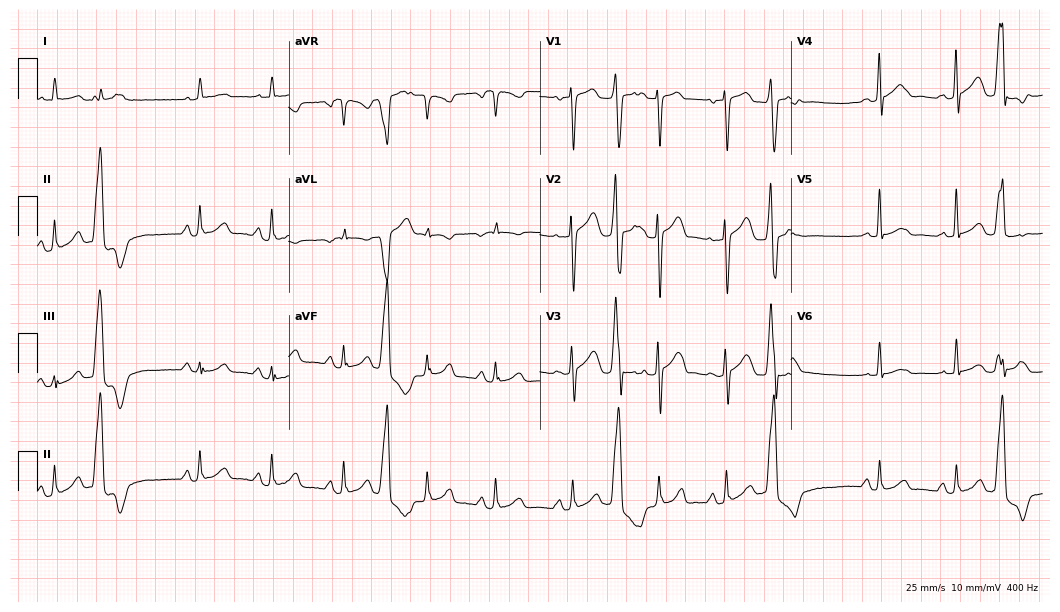
Standard 12-lead ECG recorded from a 78-year-old female. Read as a normal ECG.